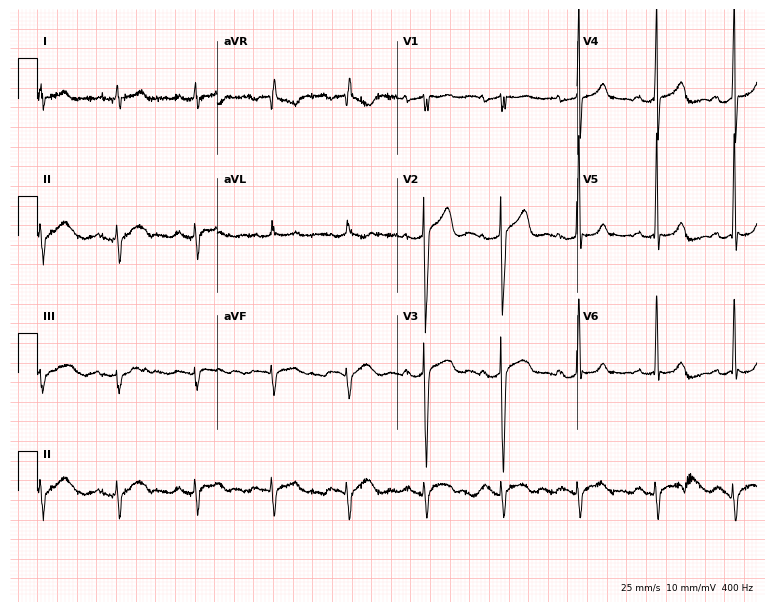
12-lead ECG from a male patient, 21 years old. No first-degree AV block, right bundle branch block (RBBB), left bundle branch block (LBBB), sinus bradycardia, atrial fibrillation (AF) or sinus tachycardia recorded for this tracing.